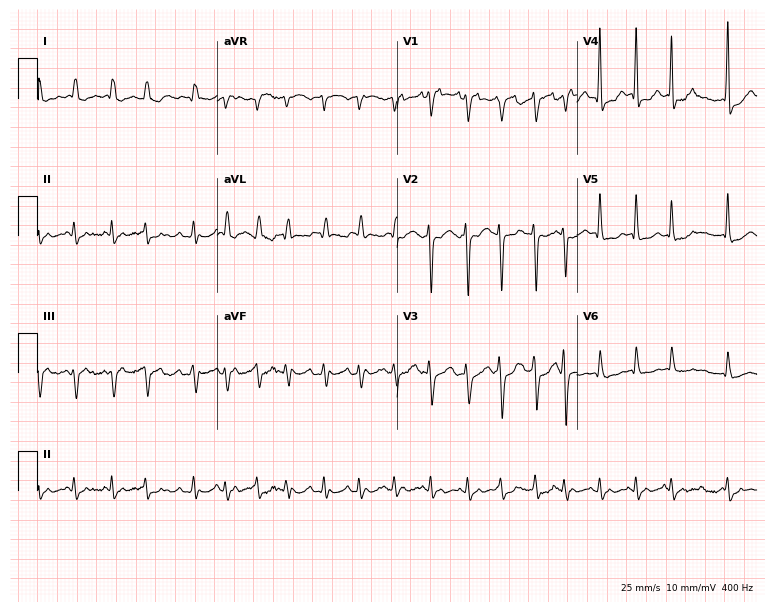
Electrocardiogram, a 65-year-old female. Interpretation includes atrial fibrillation.